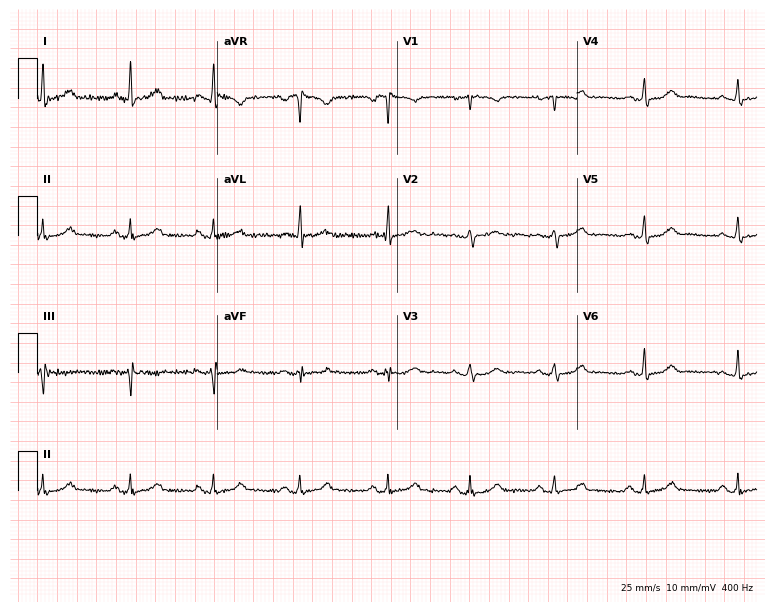
12-lead ECG from a woman, 45 years old (7.3-second recording at 400 Hz). Recorded interpretation: within normal limits.